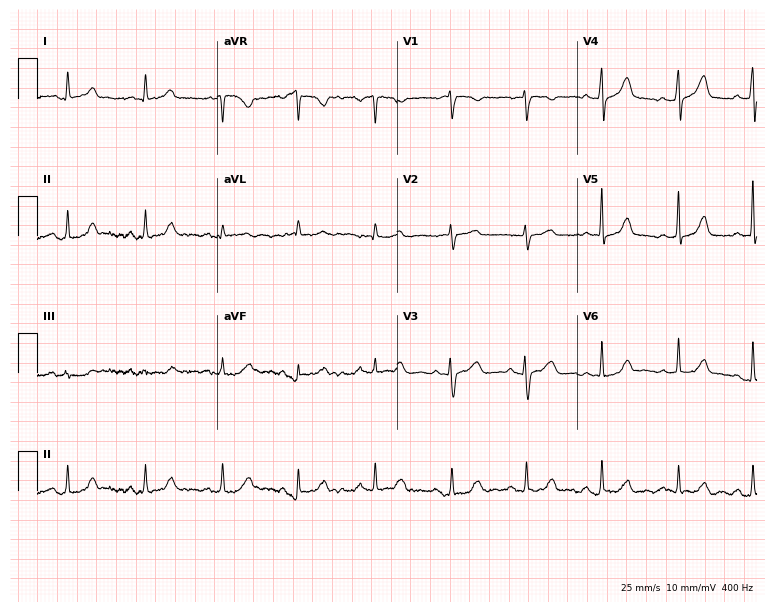
ECG — a female, 57 years old. Labelled as a normal ECG.